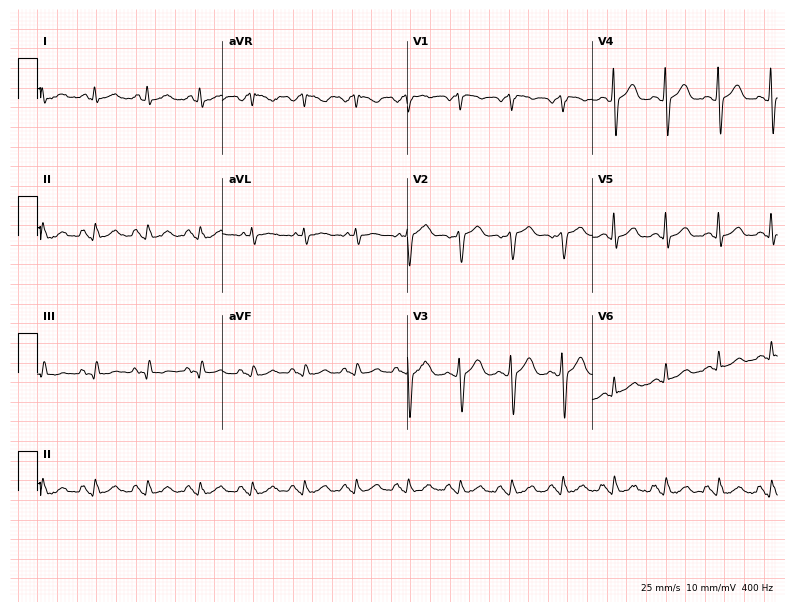
12-lead ECG (7.5-second recording at 400 Hz) from a female patient, 49 years old. Screened for six findings — first-degree AV block, right bundle branch block, left bundle branch block, sinus bradycardia, atrial fibrillation, sinus tachycardia — none is recorded.